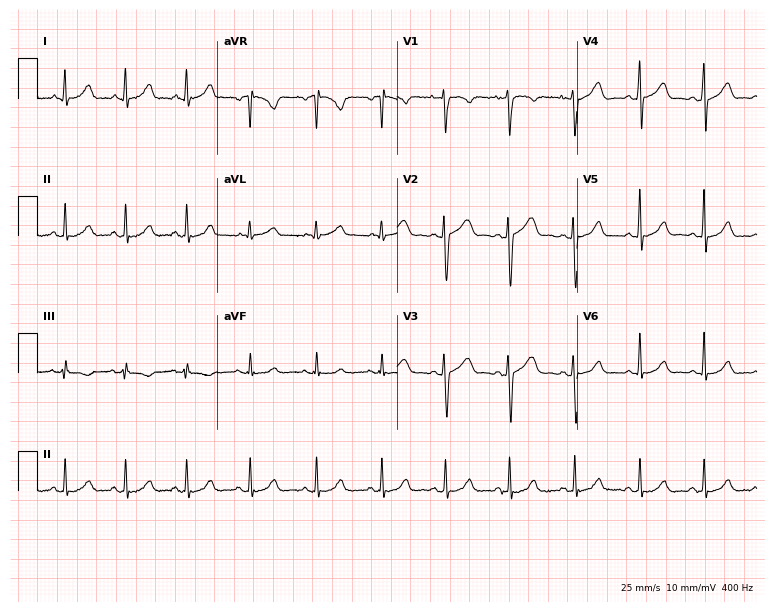
12-lead ECG from a 34-year-old female (7.3-second recording at 400 Hz). No first-degree AV block, right bundle branch block (RBBB), left bundle branch block (LBBB), sinus bradycardia, atrial fibrillation (AF) or sinus tachycardia recorded for this tracing. Only these six findings were labelled.